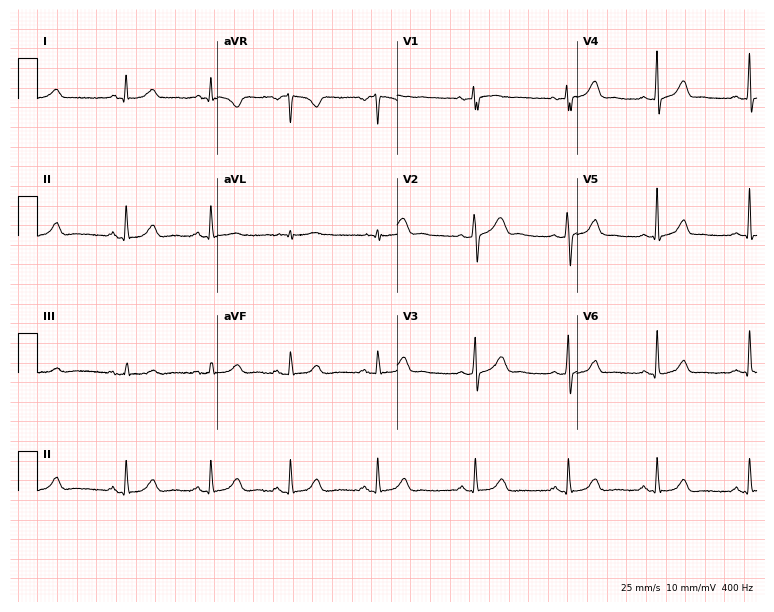
12-lead ECG (7.3-second recording at 400 Hz) from a woman, 36 years old. Labelled as a normal ECG.